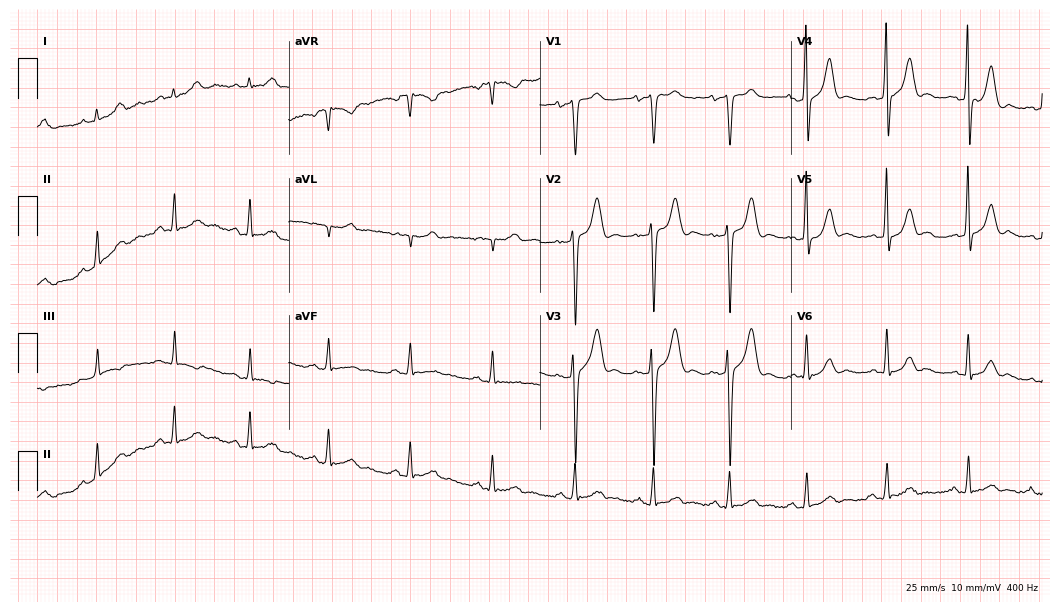
ECG — a man, 28 years old. Labelled as a normal ECG.